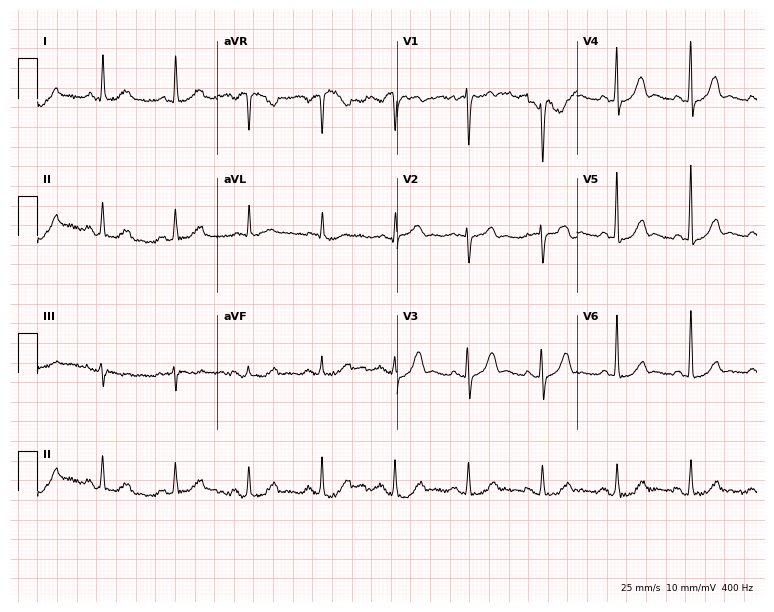
ECG — a 68-year-old woman. Screened for six findings — first-degree AV block, right bundle branch block, left bundle branch block, sinus bradycardia, atrial fibrillation, sinus tachycardia — none is recorded. Findings outside these six are not listed.